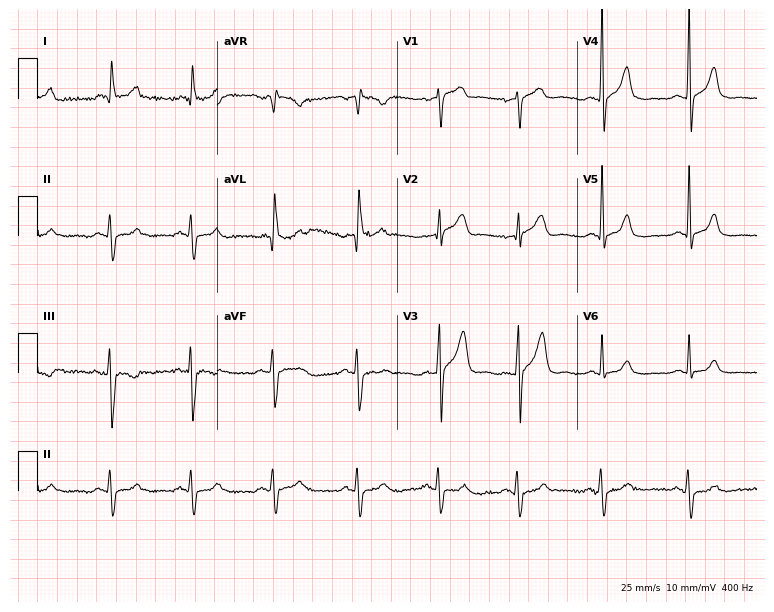
Resting 12-lead electrocardiogram (7.3-second recording at 400 Hz). Patient: a male, 73 years old. None of these six findings is recorded: first-degree AV block, right bundle branch block (RBBB), left bundle branch block (LBBB), sinus bradycardia, atrial fibrillation (AF), sinus tachycardia.